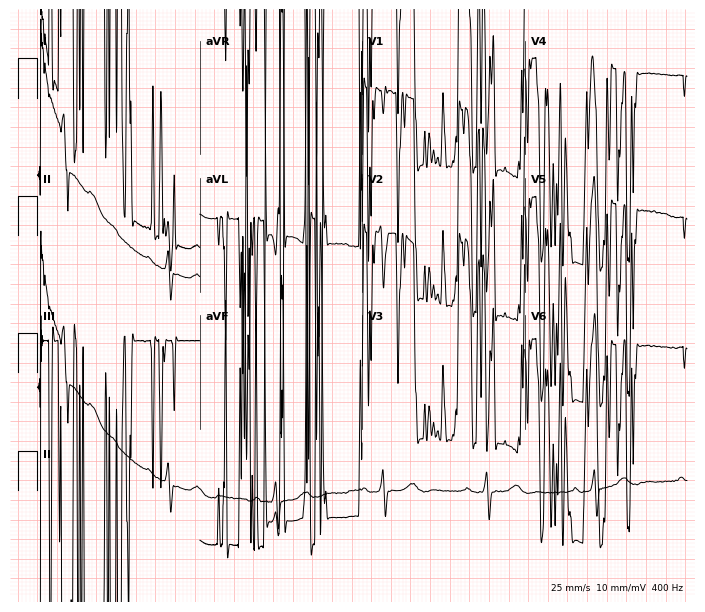
12-lead ECG from a 69-year-old woman (6.6-second recording at 400 Hz). No first-degree AV block, right bundle branch block, left bundle branch block, sinus bradycardia, atrial fibrillation or sinus tachycardia recorded for this tracing. Only these six findings were labelled.